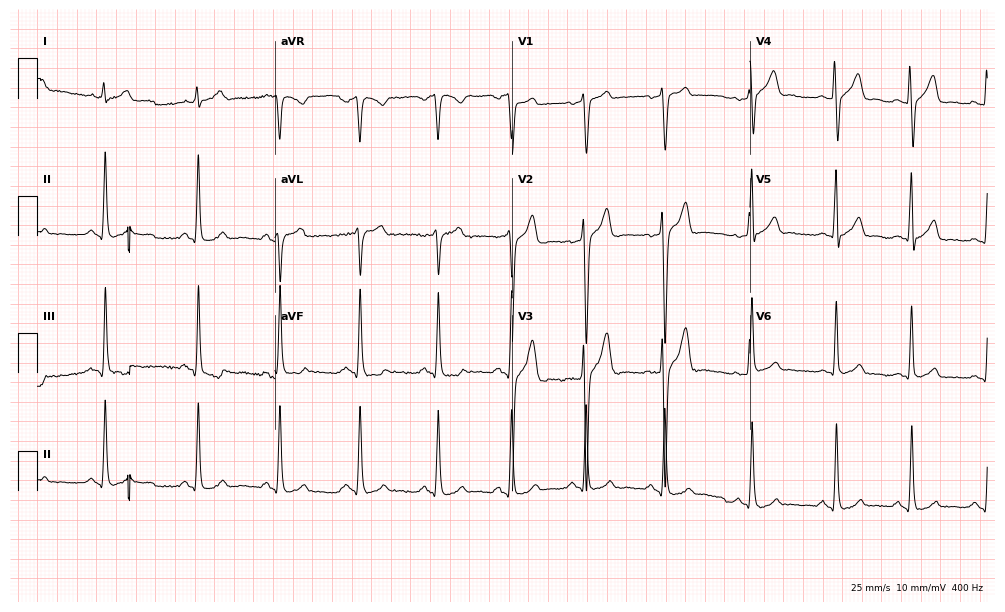
Standard 12-lead ECG recorded from a male patient, 30 years old (9.7-second recording at 400 Hz). Read as a normal ECG.